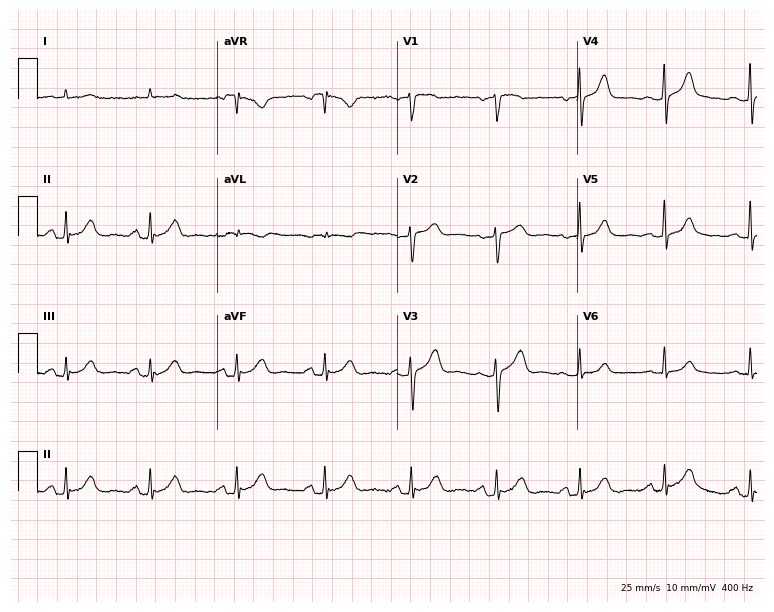
Electrocardiogram (7.3-second recording at 400 Hz), a 60-year-old male patient. Overall reading on record: normal ECG.